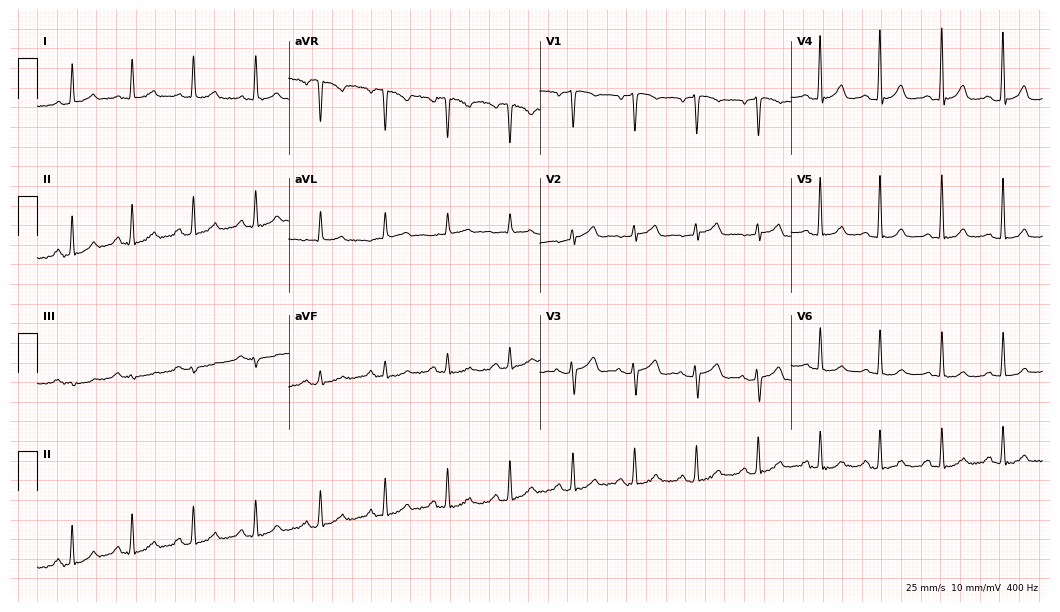
12-lead ECG from a female patient, 68 years old. Recorded interpretation: within normal limits.